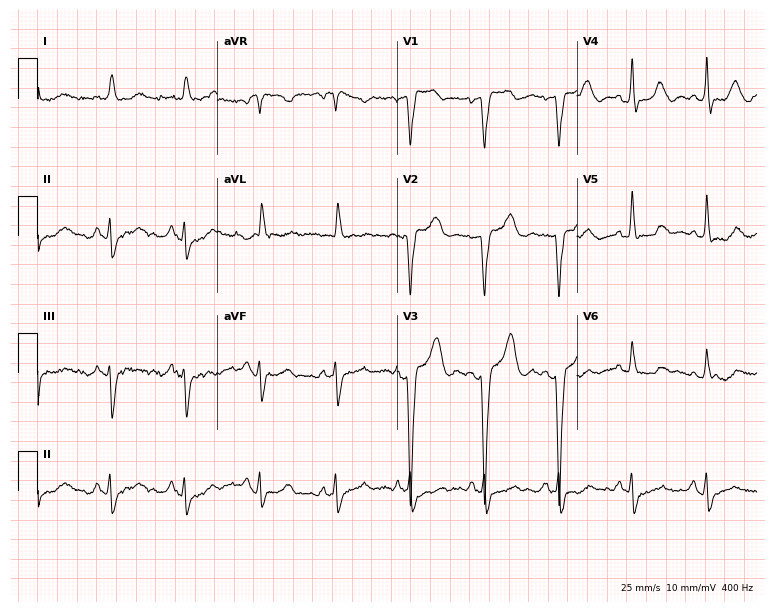
Standard 12-lead ECG recorded from a man, 81 years old (7.3-second recording at 400 Hz). The tracing shows left bundle branch block (LBBB).